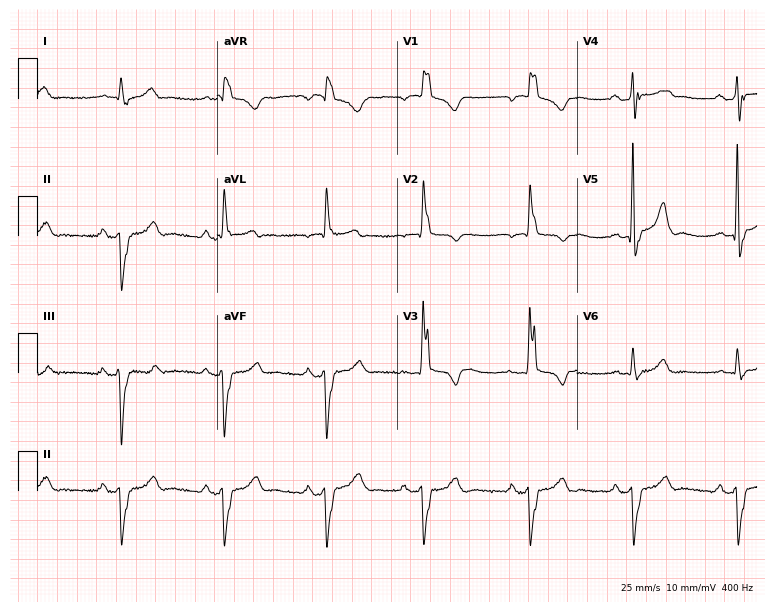
Electrocardiogram, a male patient, 52 years old. Interpretation includes right bundle branch block.